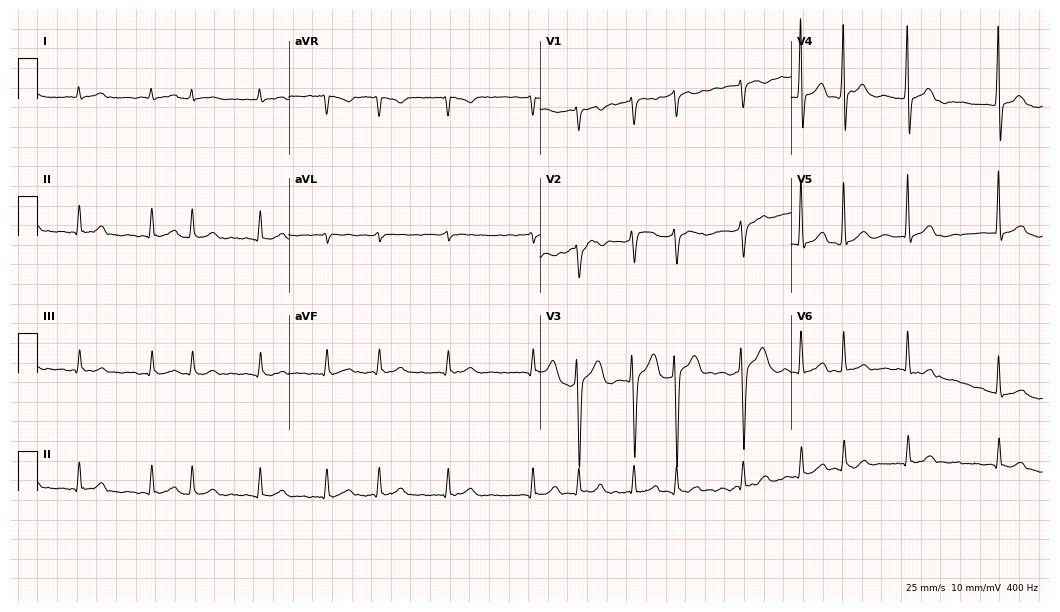
ECG — a 69-year-old man. Findings include atrial fibrillation (AF).